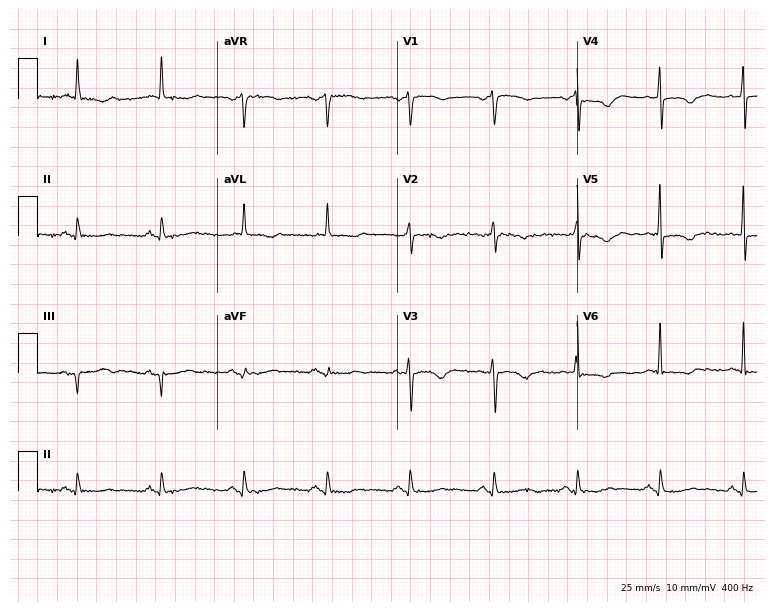
Standard 12-lead ECG recorded from an 85-year-old female. None of these six findings is recorded: first-degree AV block, right bundle branch block, left bundle branch block, sinus bradycardia, atrial fibrillation, sinus tachycardia.